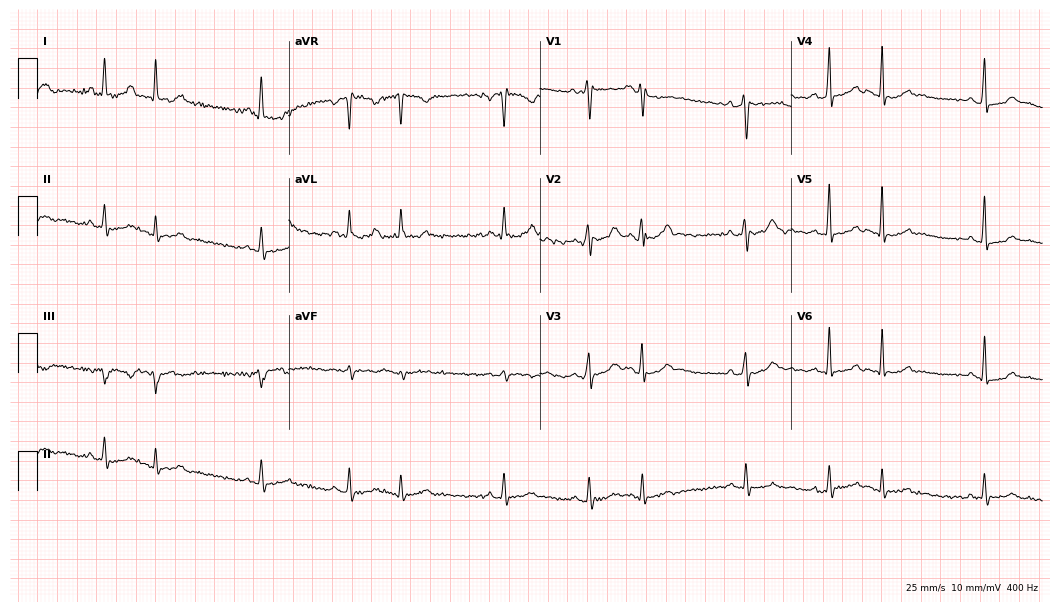
Electrocardiogram (10.2-second recording at 400 Hz), a female, 41 years old. Of the six screened findings (first-degree AV block, right bundle branch block, left bundle branch block, sinus bradycardia, atrial fibrillation, sinus tachycardia), none is recorded. Findings outside these six are not listed.